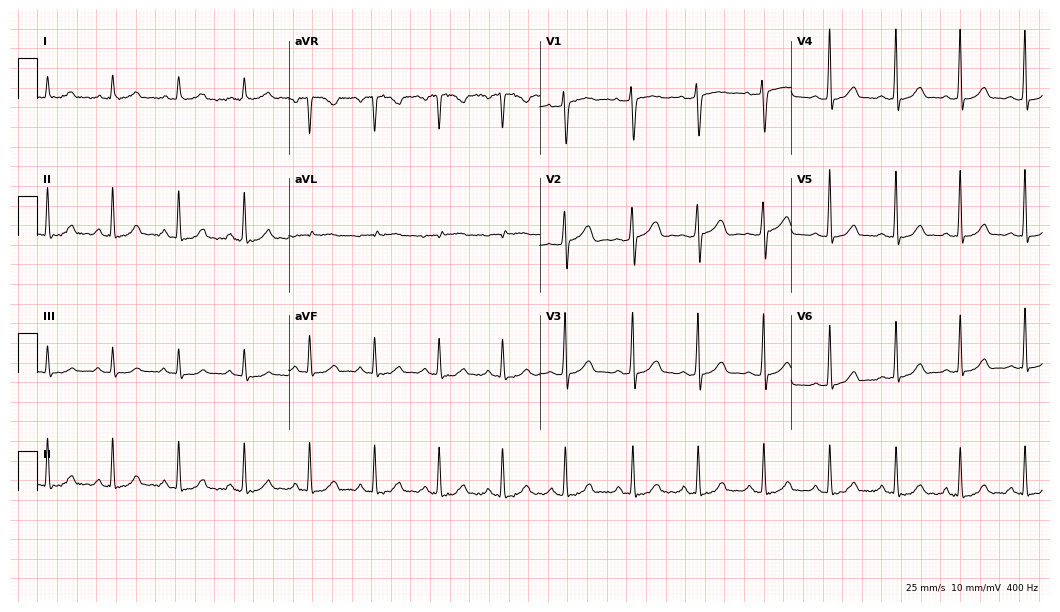
12-lead ECG from a 24-year-old female patient (10.2-second recording at 400 Hz). No first-degree AV block, right bundle branch block (RBBB), left bundle branch block (LBBB), sinus bradycardia, atrial fibrillation (AF) or sinus tachycardia recorded for this tracing. Findings outside these six are not listed.